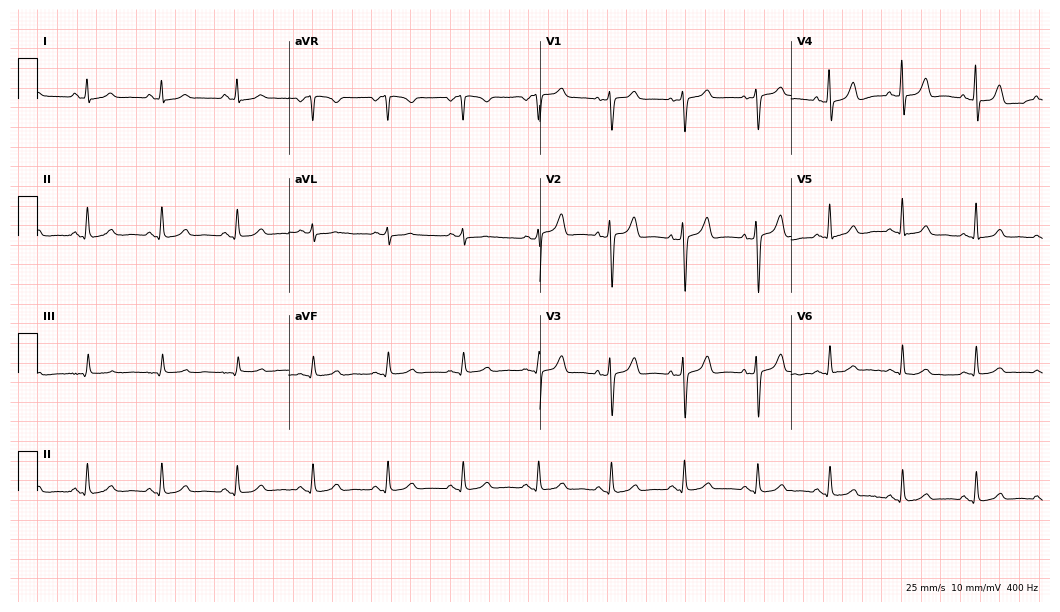
Standard 12-lead ECG recorded from a woman, 54 years old (10.2-second recording at 400 Hz). Read as a normal ECG.